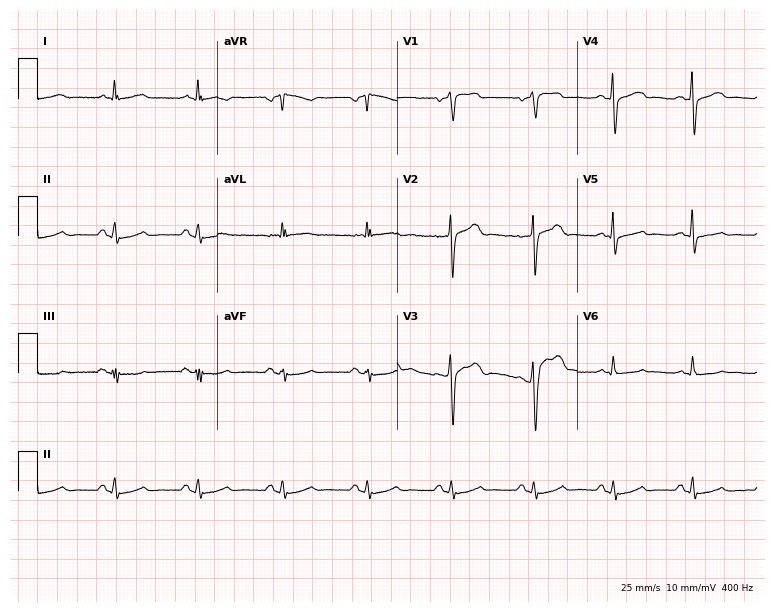
12-lead ECG from a man, 63 years old (7.3-second recording at 400 Hz). Recorded interpretation: within normal limits.